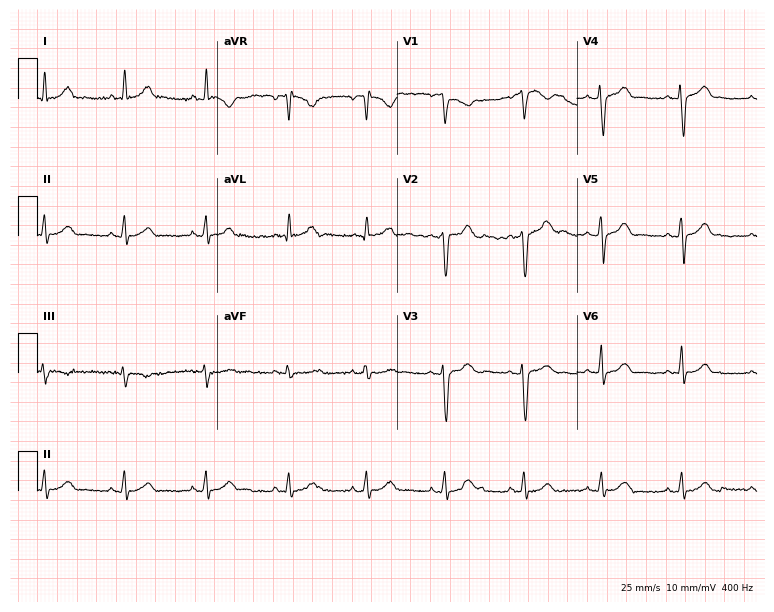
Resting 12-lead electrocardiogram (7.3-second recording at 400 Hz). Patient: a male, 31 years old. None of these six findings is recorded: first-degree AV block, right bundle branch block (RBBB), left bundle branch block (LBBB), sinus bradycardia, atrial fibrillation (AF), sinus tachycardia.